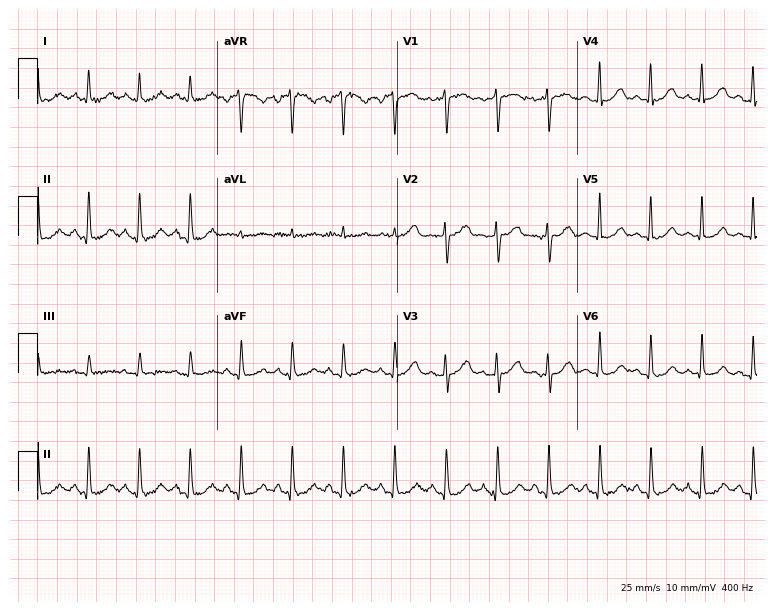
12-lead ECG from a 54-year-old female patient. Screened for six findings — first-degree AV block, right bundle branch block, left bundle branch block, sinus bradycardia, atrial fibrillation, sinus tachycardia — none is recorded. Other findings, if any, are not listed.